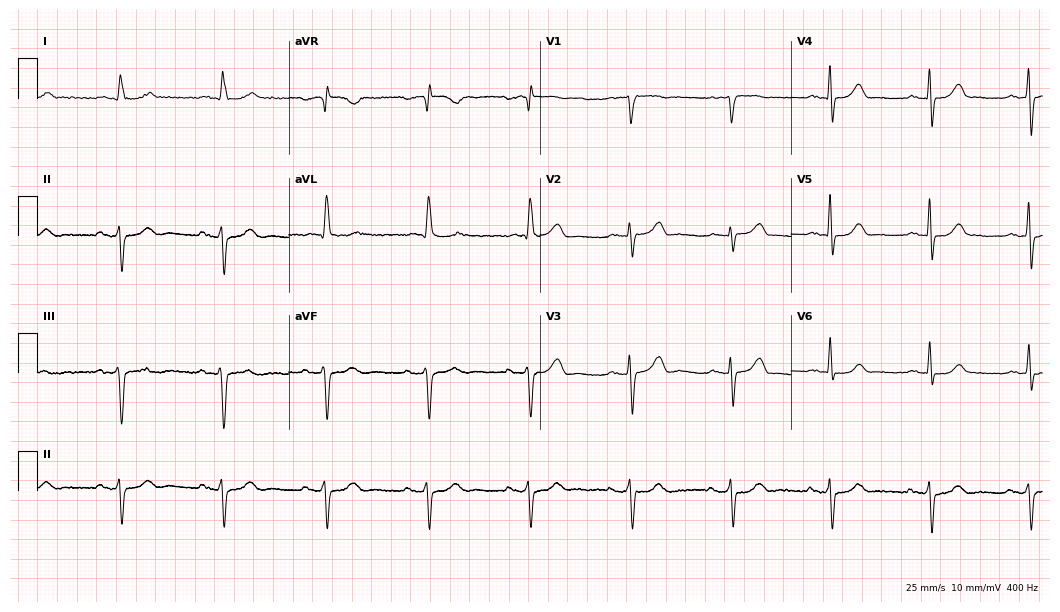
12-lead ECG from a 78-year-old male (10.2-second recording at 400 Hz). No first-degree AV block, right bundle branch block, left bundle branch block, sinus bradycardia, atrial fibrillation or sinus tachycardia recorded for this tracing. Findings outside these six are not listed.